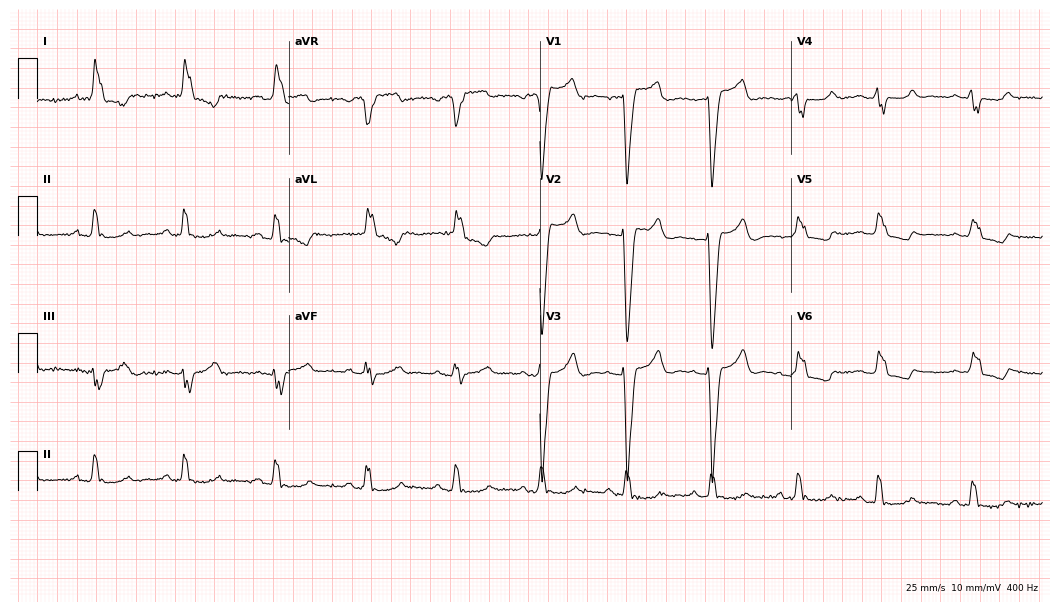
Electrocardiogram (10.2-second recording at 400 Hz), a 62-year-old woman. Interpretation includes left bundle branch block.